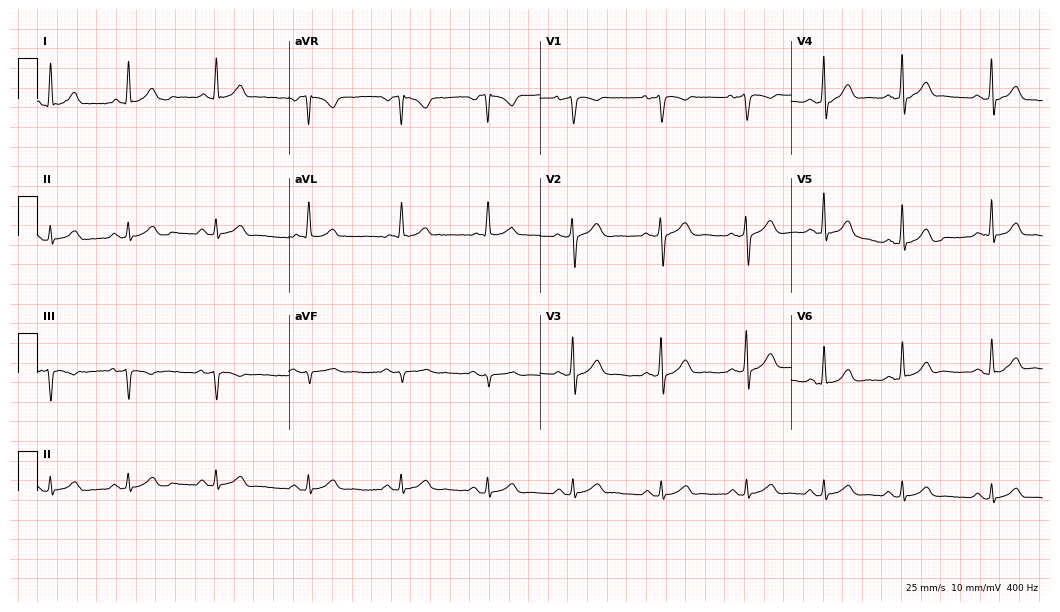
Resting 12-lead electrocardiogram. Patient: a man, 50 years old. Read as a normal ECG.